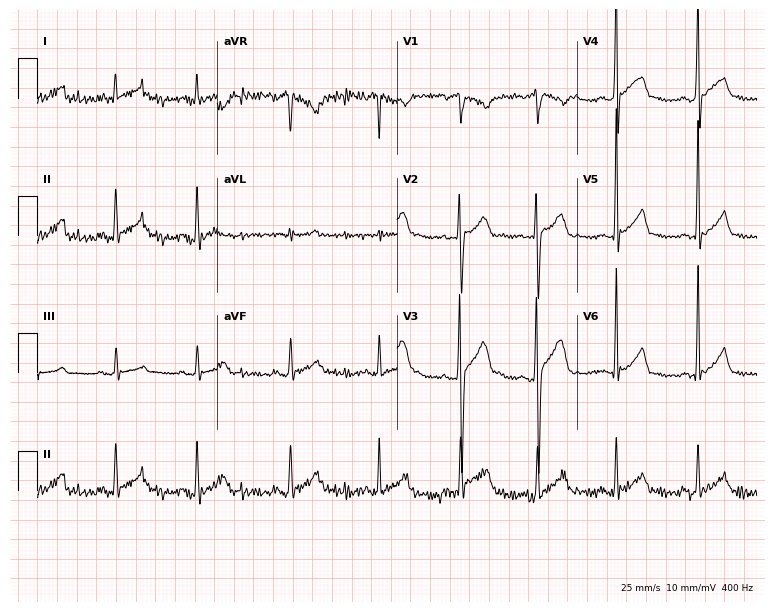
Resting 12-lead electrocardiogram. Patient: a man, 20 years old. None of these six findings is recorded: first-degree AV block, right bundle branch block, left bundle branch block, sinus bradycardia, atrial fibrillation, sinus tachycardia. Only these six findings were labelled.